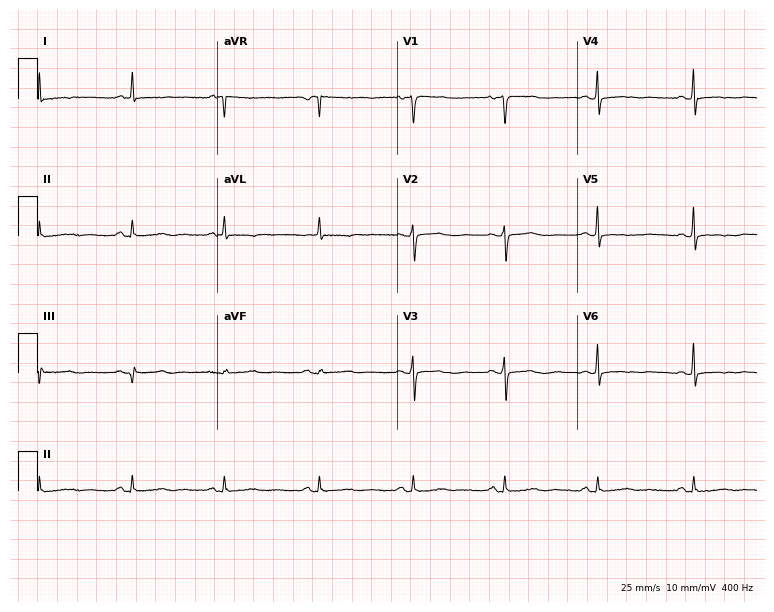
Standard 12-lead ECG recorded from a woman, 79 years old (7.3-second recording at 400 Hz). None of these six findings is recorded: first-degree AV block, right bundle branch block (RBBB), left bundle branch block (LBBB), sinus bradycardia, atrial fibrillation (AF), sinus tachycardia.